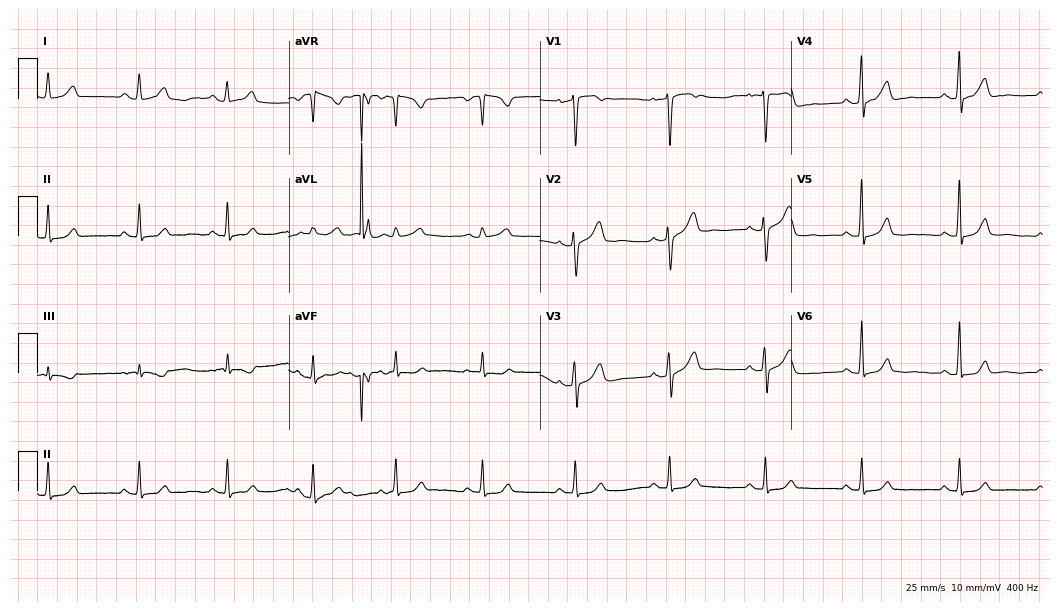
12-lead ECG from a 51-year-old female patient. Labelled as a normal ECG.